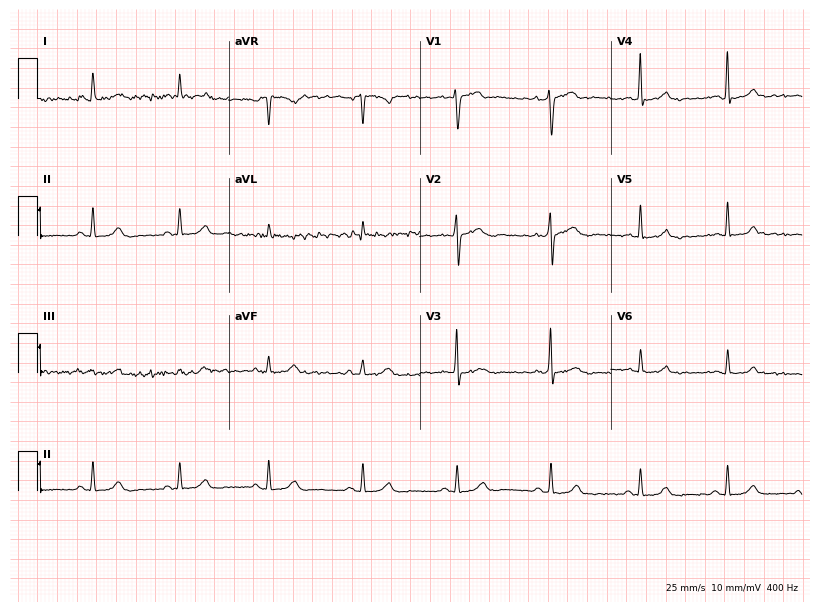
ECG — a female patient, 41 years old. Screened for six findings — first-degree AV block, right bundle branch block, left bundle branch block, sinus bradycardia, atrial fibrillation, sinus tachycardia — none is recorded. Only these six findings were labelled.